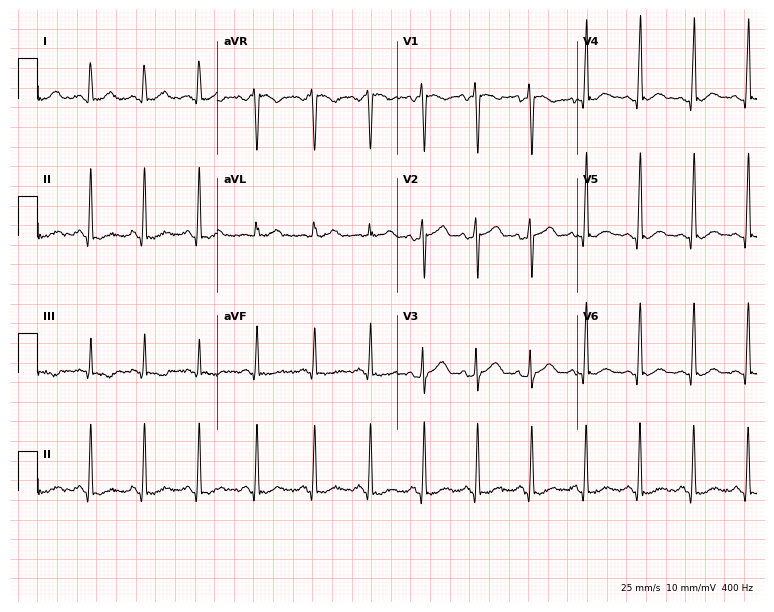
12-lead ECG from a female patient, 28 years old (7.3-second recording at 400 Hz). Shows sinus tachycardia (a sinus rate of 100 beats per minute or more).